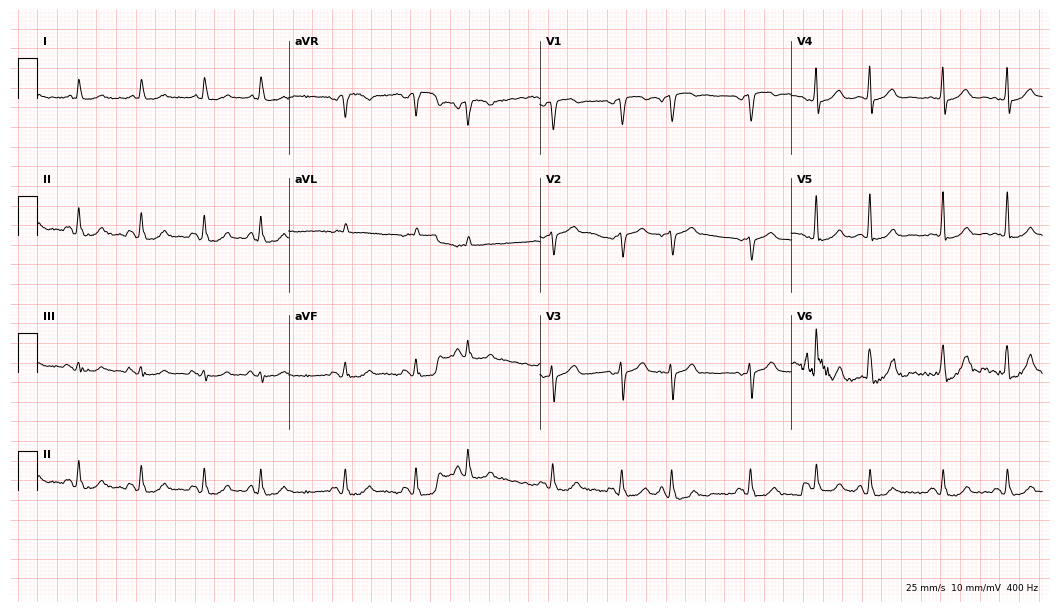
ECG (10.2-second recording at 400 Hz) — a 71-year-old man. Labelled as a normal ECG.